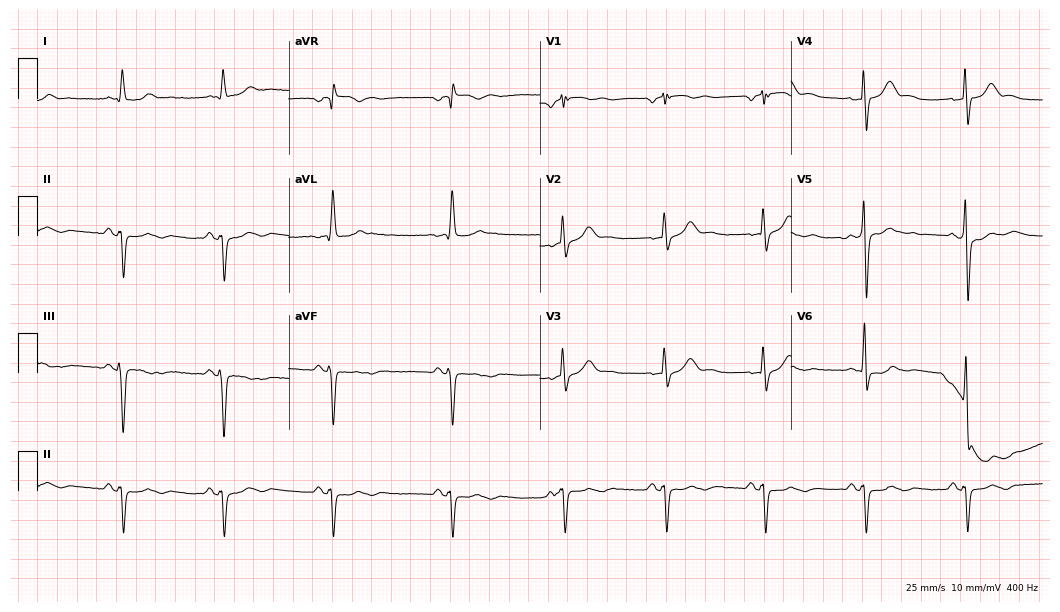
Electrocardiogram (10.2-second recording at 400 Hz), a 51-year-old male. Of the six screened findings (first-degree AV block, right bundle branch block (RBBB), left bundle branch block (LBBB), sinus bradycardia, atrial fibrillation (AF), sinus tachycardia), none is recorded.